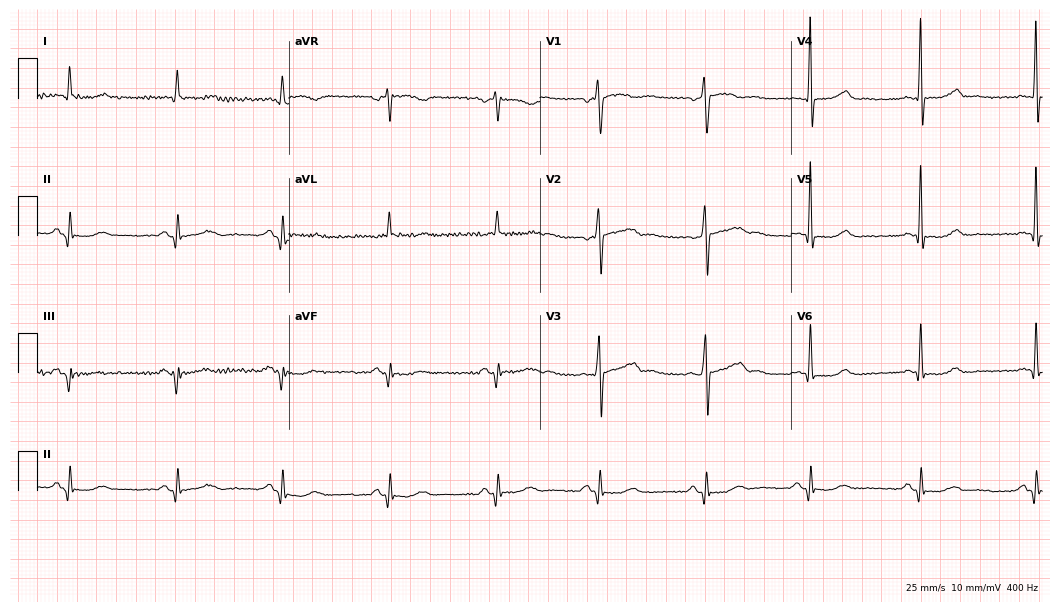
ECG (10.2-second recording at 400 Hz) — a 52-year-old male patient. Screened for six findings — first-degree AV block, right bundle branch block (RBBB), left bundle branch block (LBBB), sinus bradycardia, atrial fibrillation (AF), sinus tachycardia — none is recorded. Other findings, if any, are not listed.